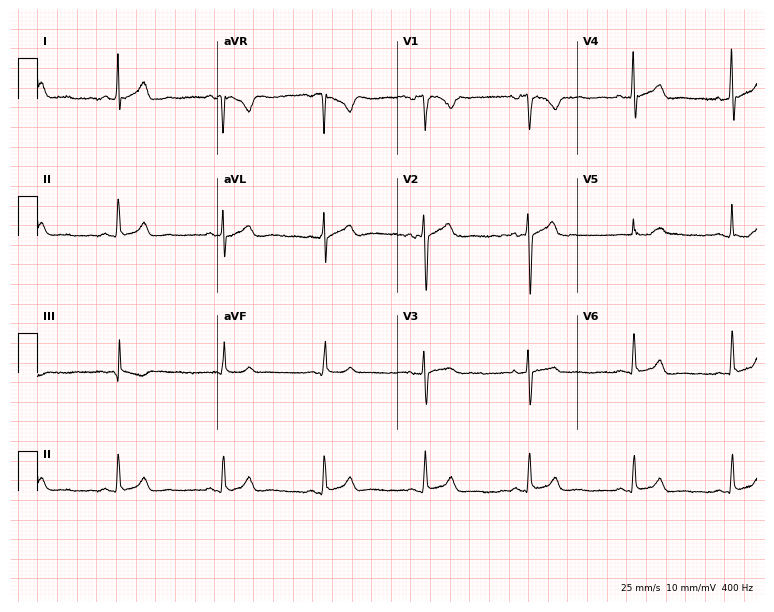
Standard 12-lead ECG recorded from a man, 38 years old (7.3-second recording at 400 Hz). Read as a normal ECG.